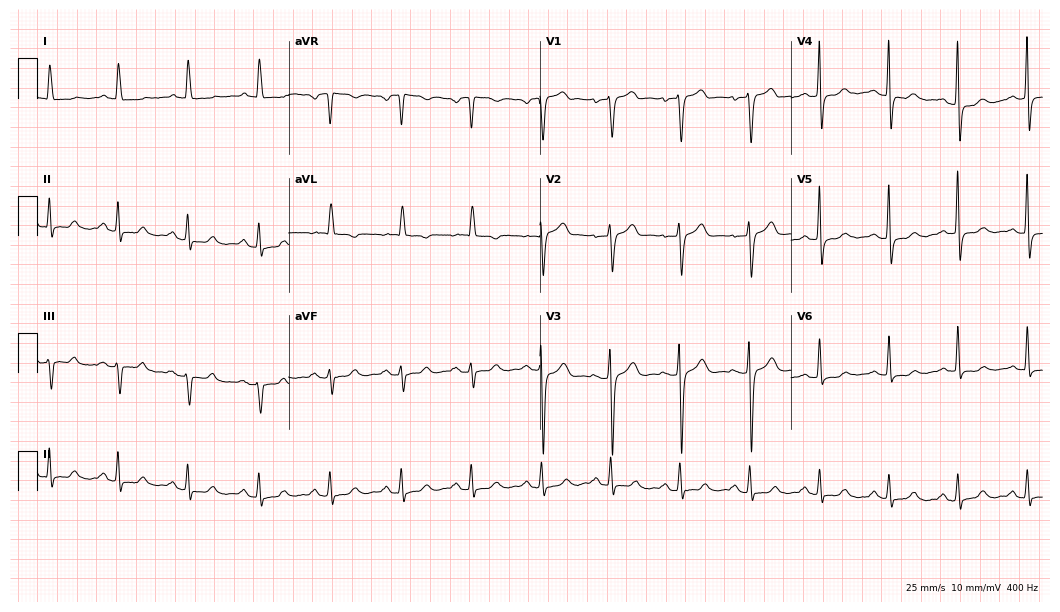
Electrocardiogram (10.2-second recording at 400 Hz), a 68-year-old female. Overall reading on record: normal ECG.